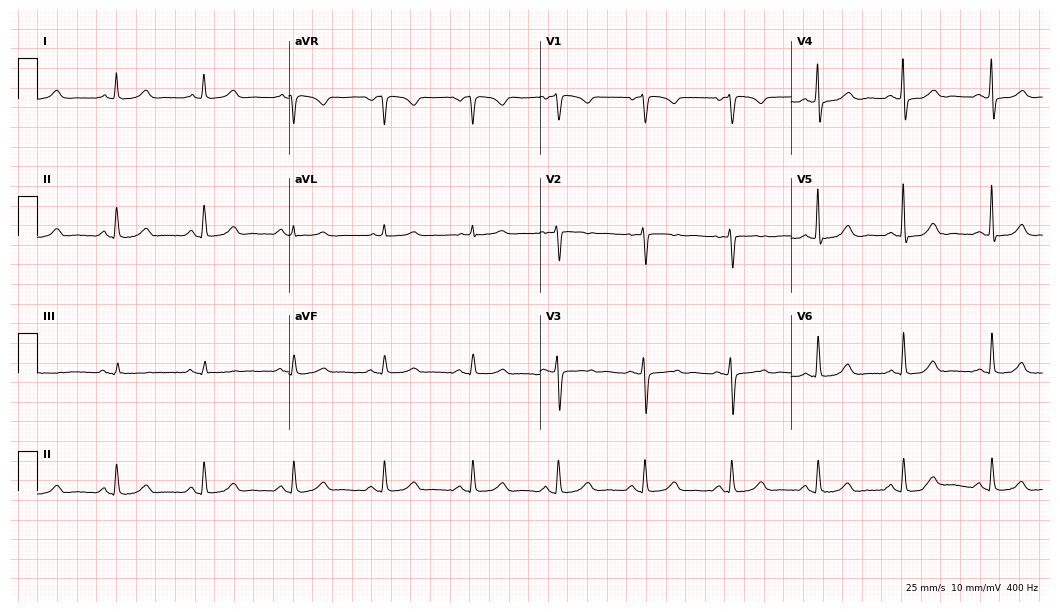
Electrocardiogram, a woman, 64 years old. Overall reading on record: normal ECG.